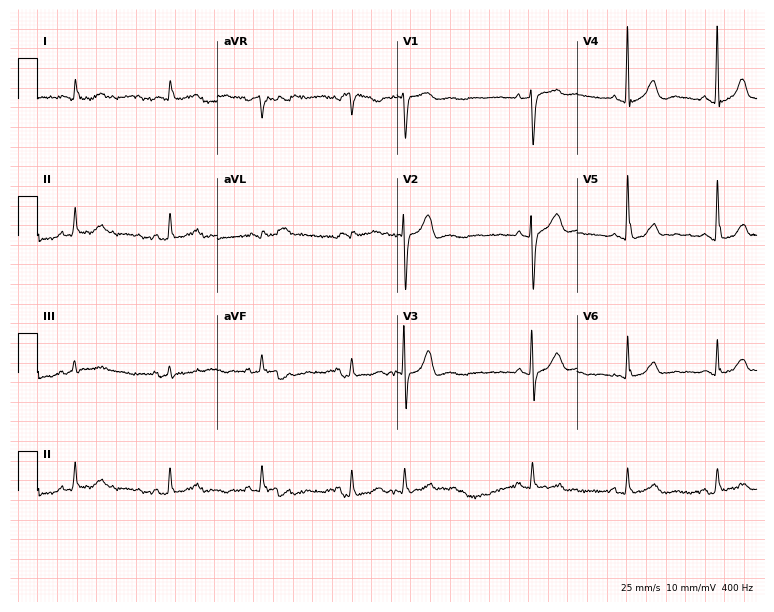
Resting 12-lead electrocardiogram (7.3-second recording at 400 Hz). Patient: a 66-year-old female. None of these six findings is recorded: first-degree AV block, right bundle branch block, left bundle branch block, sinus bradycardia, atrial fibrillation, sinus tachycardia. Other findings, if any, are not listed.